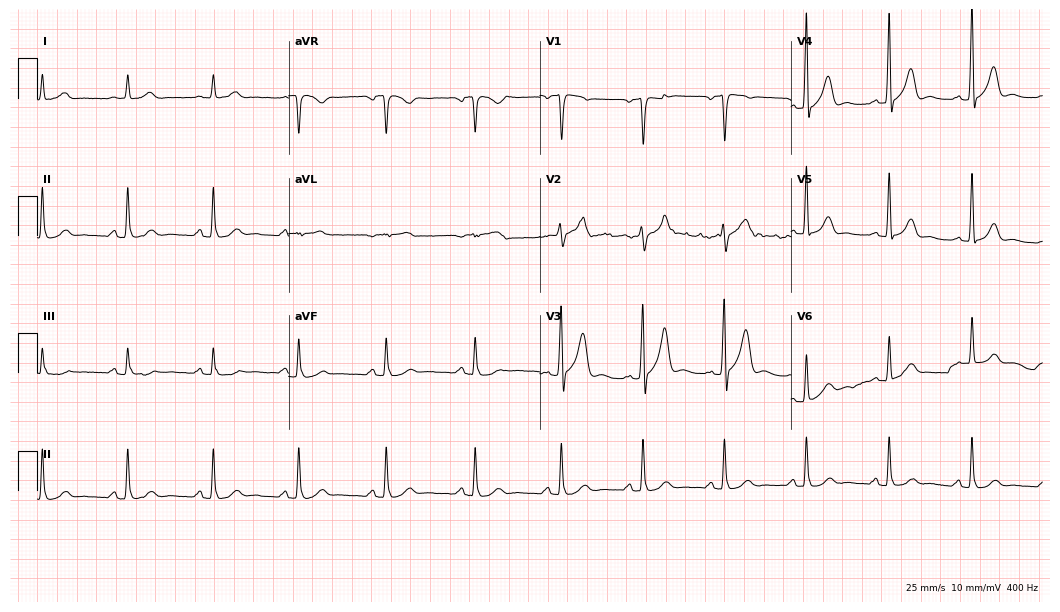
Electrocardiogram (10.2-second recording at 400 Hz), a 66-year-old male patient. Overall reading on record: normal ECG.